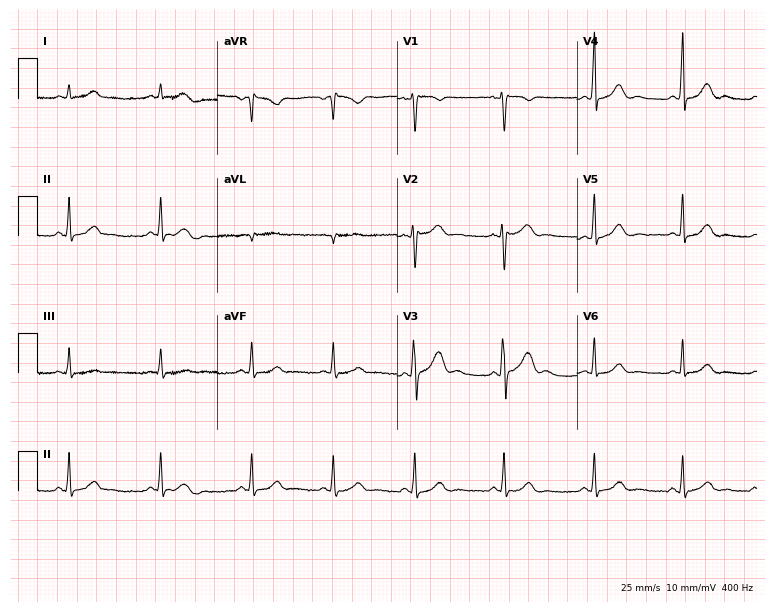
ECG (7.3-second recording at 400 Hz) — a woman, 35 years old. Screened for six findings — first-degree AV block, right bundle branch block, left bundle branch block, sinus bradycardia, atrial fibrillation, sinus tachycardia — none is recorded.